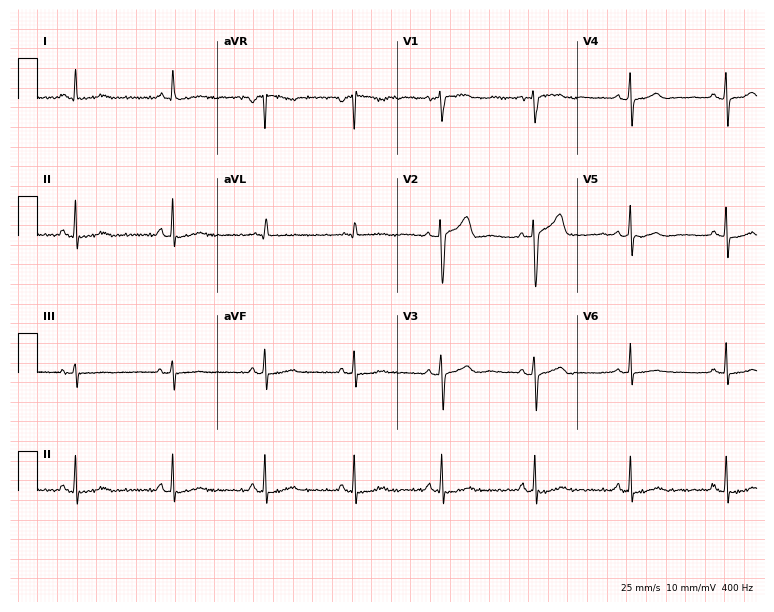
12-lead ECG from a woman, 42 years old. No first-degree AV block, right bundle branch block, left bundle branch block, sinus bradycardia, atrial fibrillation or sinus tachycardia recorded for this tracing. Only these six findings were labelled.